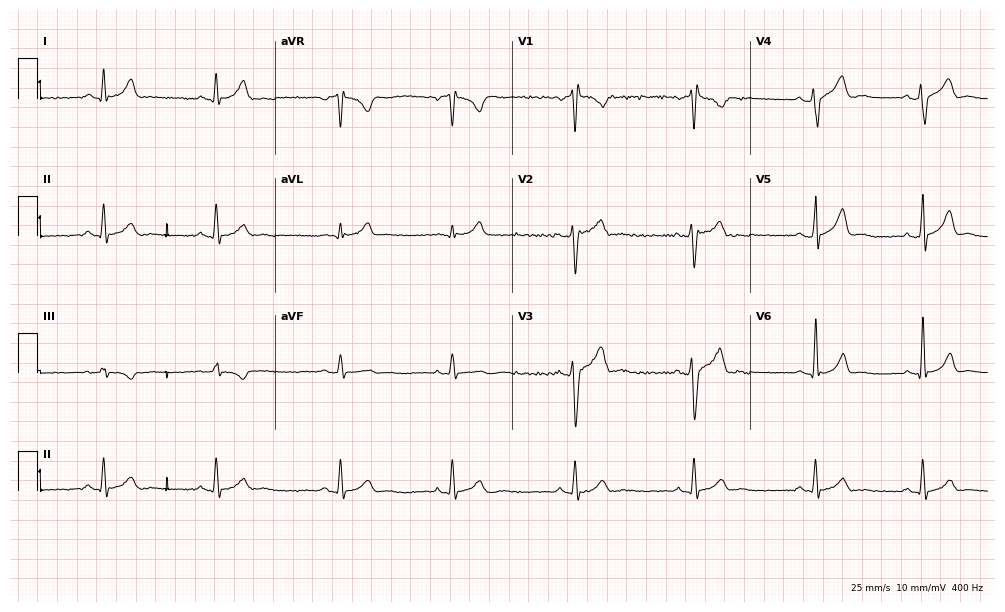
Electrocardiogram, a 45-year-old man. Of the six screened findings (first-degree AV block, right bundle branch block, left bundle branch block, sinus bradycardia, atrial fibrillation, sinus tachycardia), none is recorded.